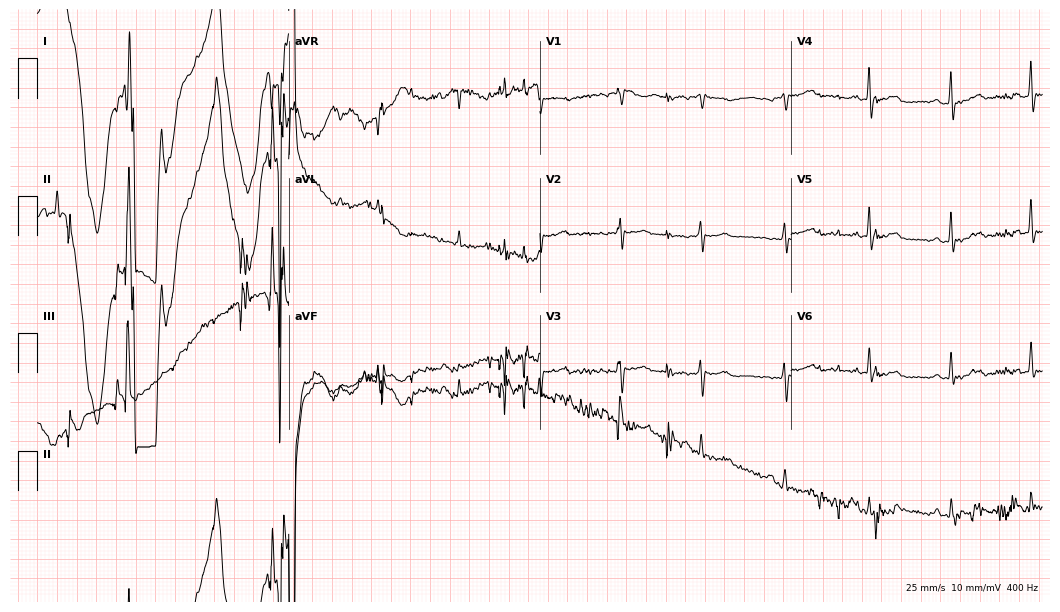
Resting 12-lead electrocardiogram. Patient: a man, 64 years old. None of these six findings is recorded: first-degree AV block, right bundle branch block, left bundle branch block, sinus bradycardia, atrial fibrillation, sinus tachycardia.